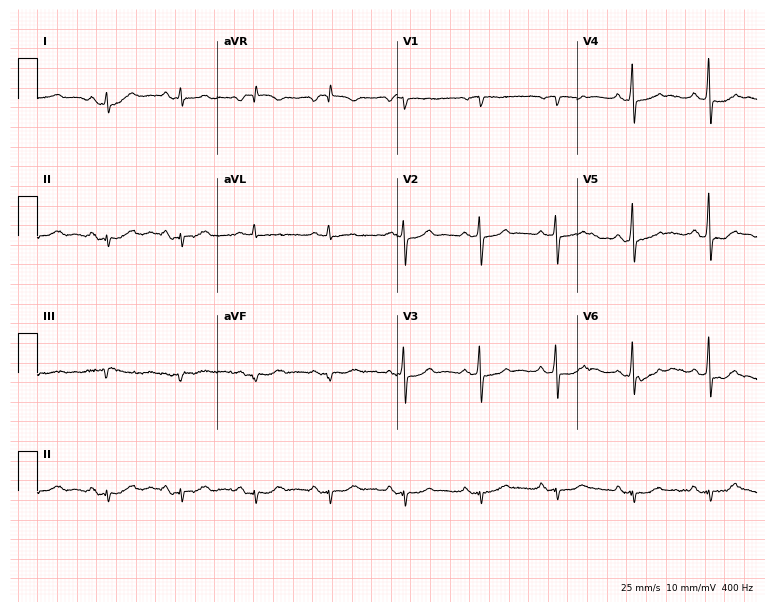
12-lead ECG (7.3-second recording at 400 Hz) from a male, 74 years old. Screened for six findings — first-degree AV block, right bundle branch block, left bundle branch block, sinus bradycardia, atrial fibrillation, sinus tachycardia — none is recorded.